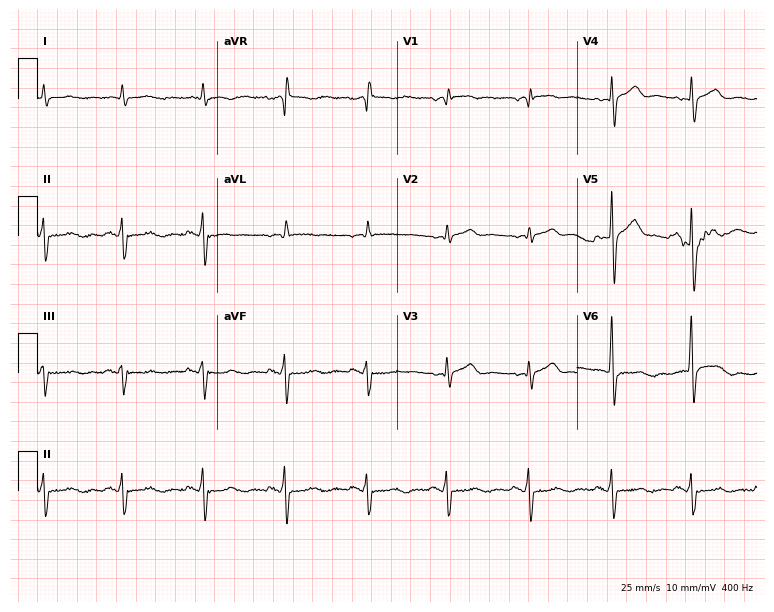
12-lead ECG from a man, 69 years old. Screened for six findings — first-degree AV block, right bundle branch block (RBBB), left bundle branch block (LBBB), sinus bradycardia, atrial fibrillation (AF), sinus tachycardia — none is recorded. Only these six findings were labelled.